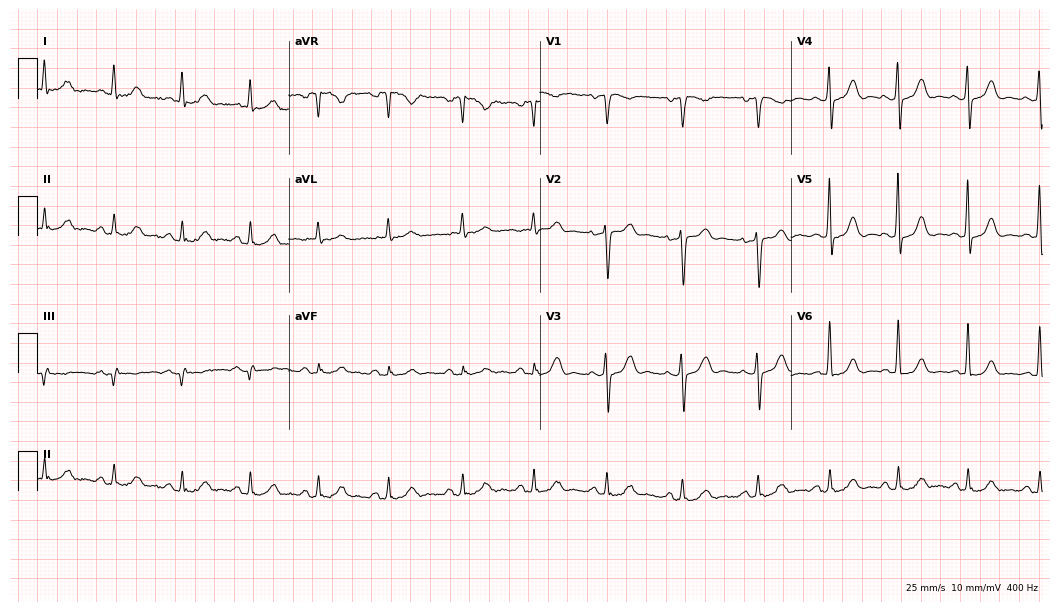
Resting 12-lead electrocardiogram. Patient: a 41-year-old female. None of these six findings is recorded: first-degree AV block, right bundle branch block, left bundle branch block, sinus bradycardia, atrial fibrillation, sinus tachycardia.